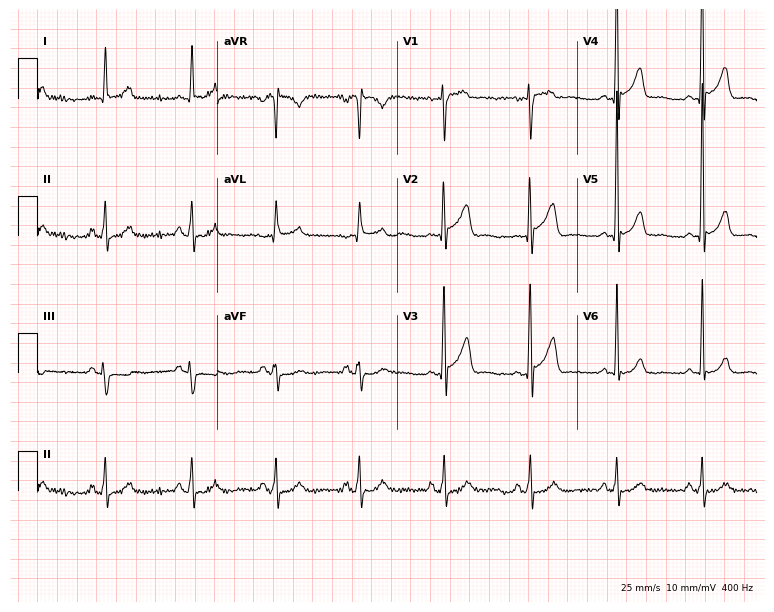
12-lead ECG (7.3-second recording at 400 Hz) from a man, 62 years old. Screened for six findings — first-degree AV block, right bundle branch block, left bundle branch block, sinus bradycardia, atrial fibrillation, sinus tachycardia — none is recorded.